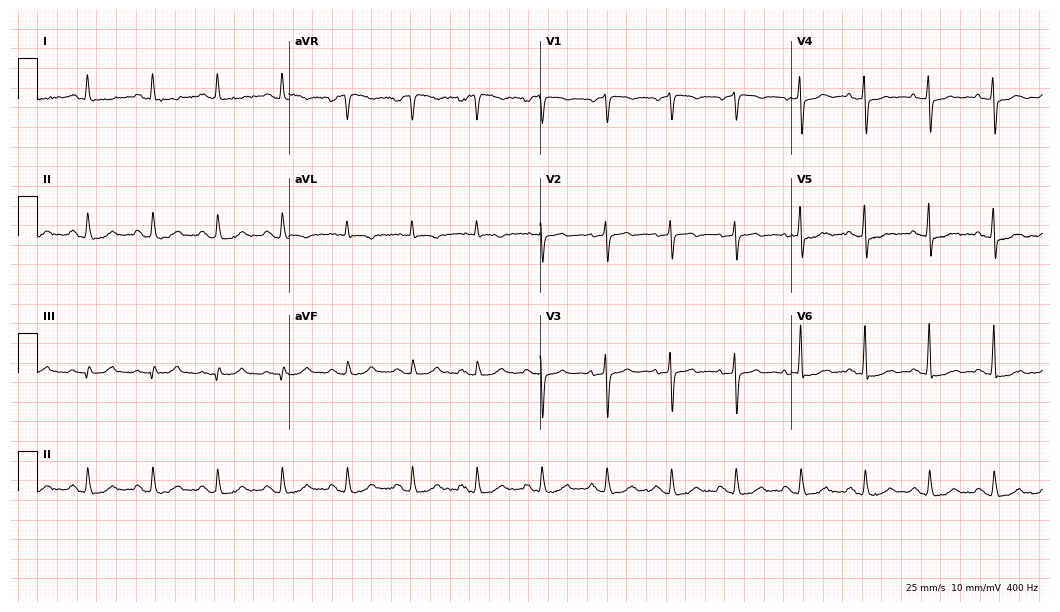
12-lead ECG from a woman, 64 years old. Screened for six findings — first-degree AV block, right bundle branch block, left bundle branch block, sinus bradycardia, atrial fibrillation, sinus tachycardia — none is recorded.